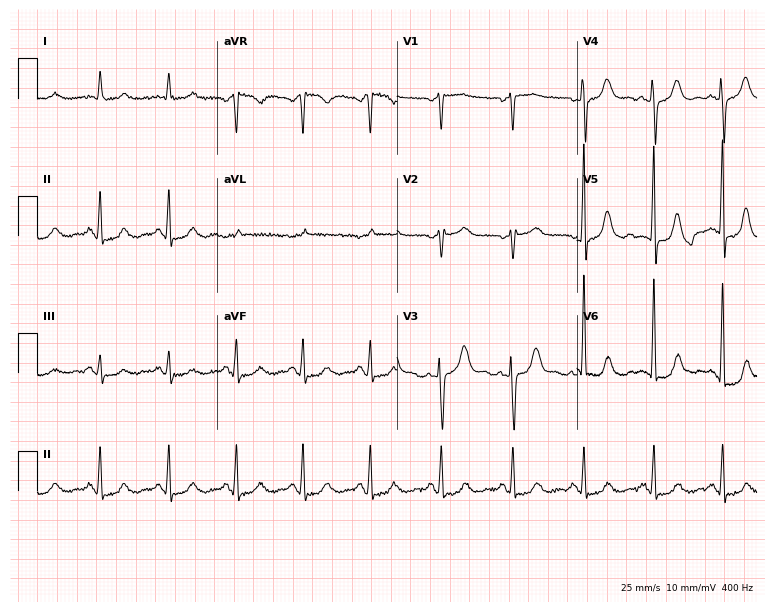
Standard 12-lead ECG recorded from a 68-year-old female. None of these six findings is recorded: first-degree AV block, right bundle branch block (RBBB), left bundle branch block (LBBB), sinus bradycardia, atrial fibrillation (AF), sinus tachycardia. Other findings, if any, are not listed.